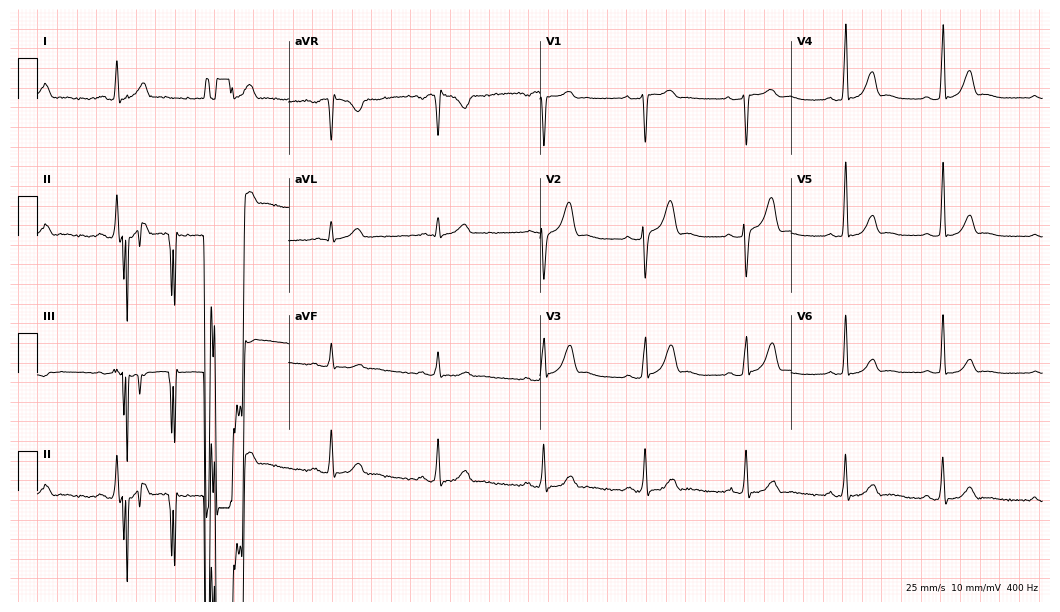
Resting 12-lead electrocardiogram (10.2-second recording at 400 Hz). Patient: a man, 28 years old. None of these six findings is recorded: first-degree AV block, right bundle branch block, left bundle branch block, sinus bradycardia, atrial fibrillation, sinus tachycardia. Findings outside these six are not listed.